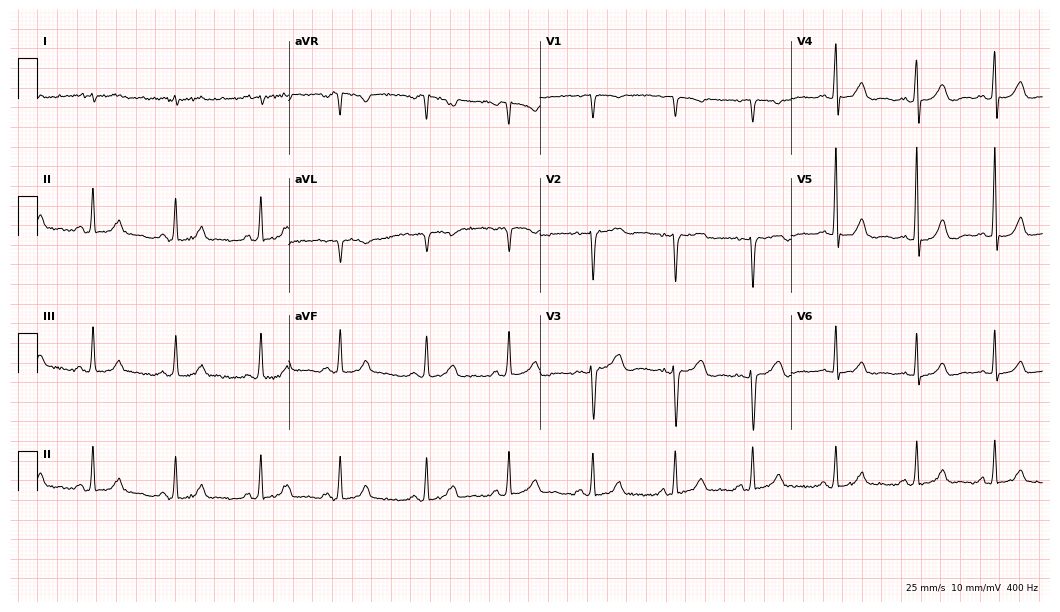
12-lead ECG (10.2-second recording at 400 Hz) from a woman, 33 years old. Screened for six findings — first-degree AV block, right bundle branch block, left bundle branch block, sinus bradycardia, atrial fibrillation, sinus tachycardia — none is recorded. Findings outside these six are not listed.